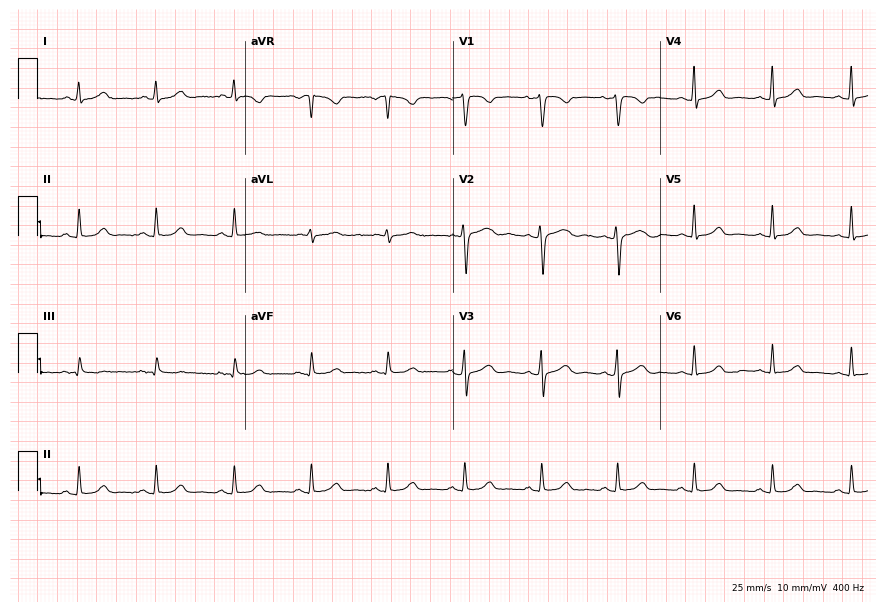
Standard 12-lead ECG recorded from a 36-year-old woman. None of these six findings is recorded: first-degree AV block, right bundle branch block, left bundle branch block, sinus bradycardia, atrial fibrillation, sinus tachycardia.